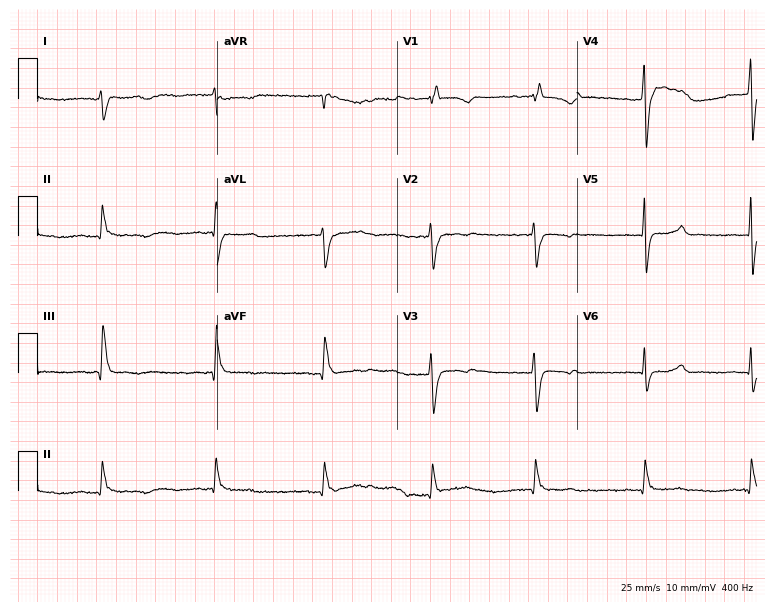
ECG — a 66-year-old woman. Findings include right bundle branch block (RBBB).